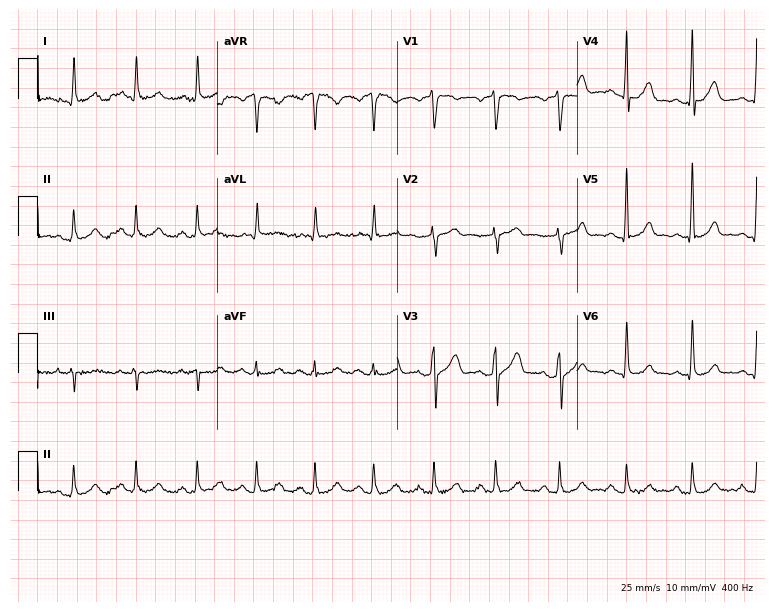
12-lead ECG from a 49-year-old male patient (7.3-second recording at 400 Hz). Recorded interpretation: within normal limits.